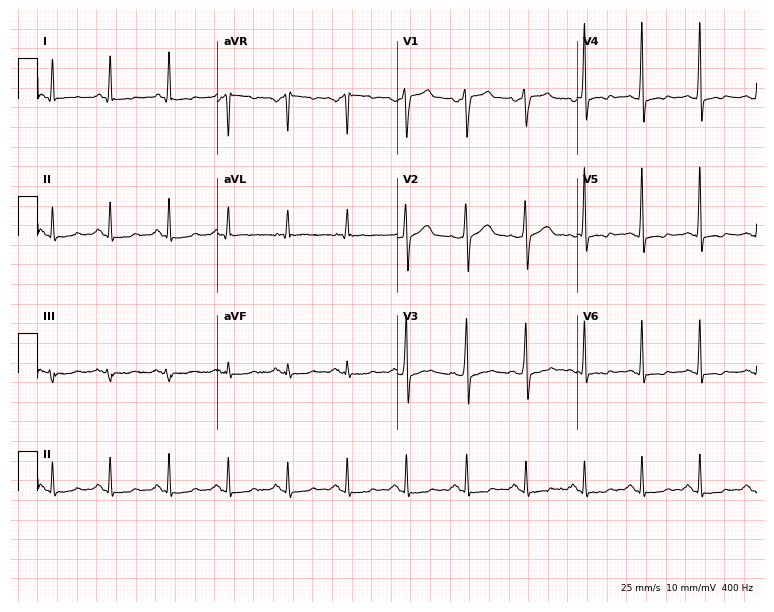
12-lead ECG from a male, 49 years old (7.3-second recording at 400 Hz). Recorded interpretation: within normal limits.